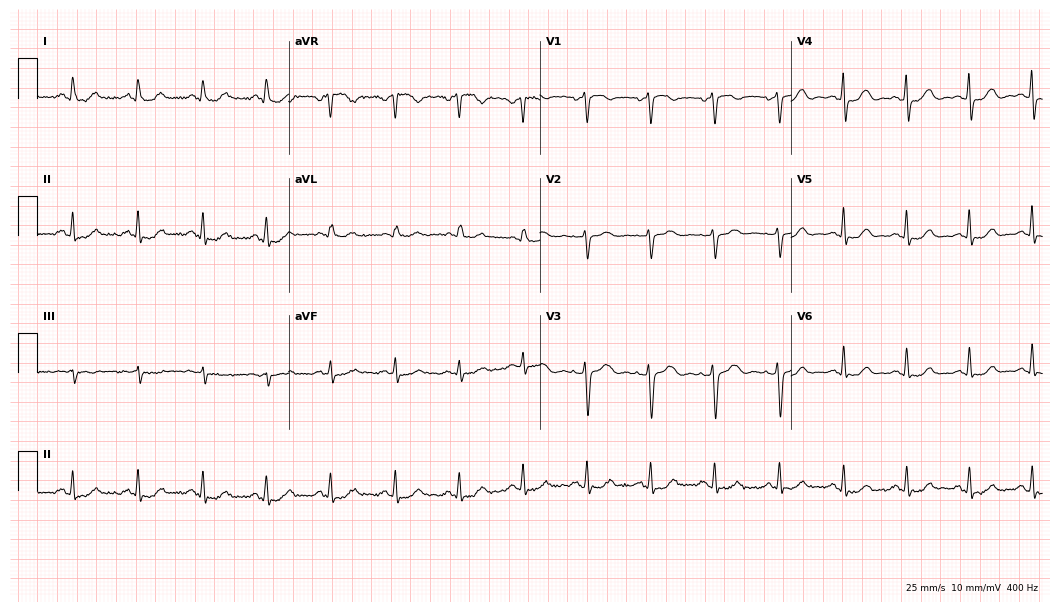
Resting 12-lead electrocardiogram. Patient: a 65-year-old female. Read as a normal ECG.